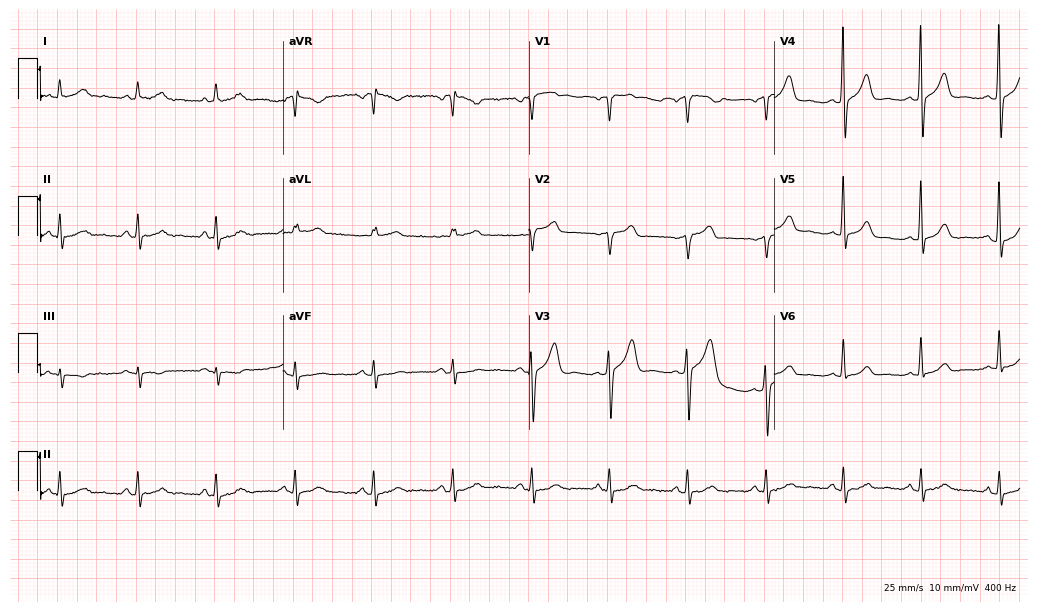
Resting 12-lead electrocardiogram. Patient: a man, 69 years old. None of these six findings is recorded: first-degree AV block, right bundle branch block, left bundle branch block, sinus bradycardia, atrial fibrillation, sinus tachycardia.